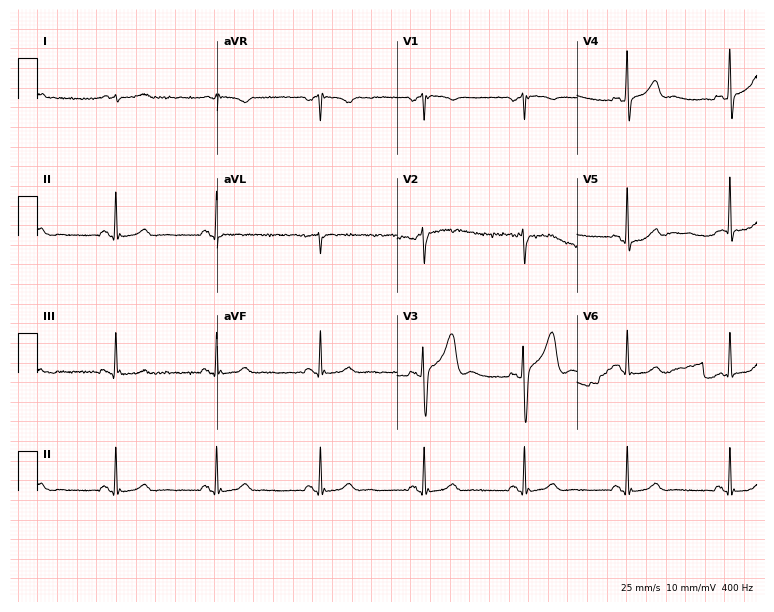
ECG (7.3-second recording at 400 Hz) — an 82-year-old man. Labelled as a normal ECG.